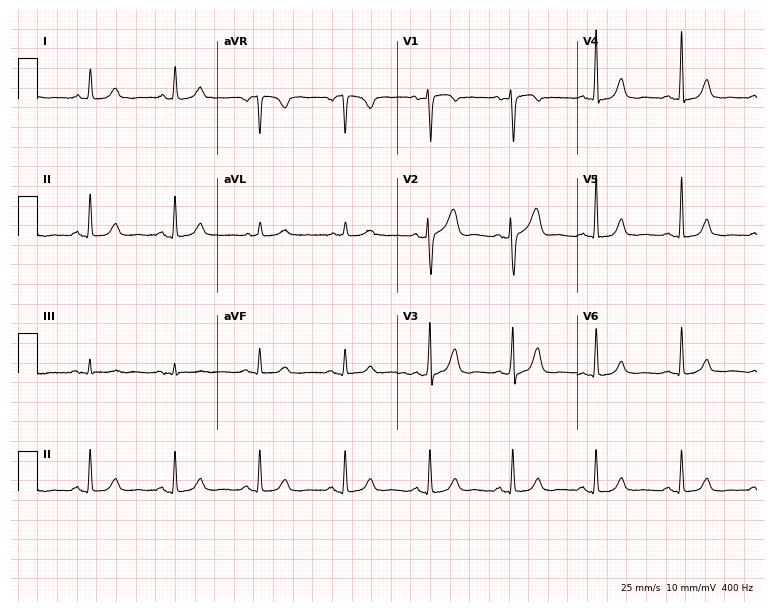
12-lead ECG (7.3-second recording at 400 Hz) from a female patient, 54 years old. Screened for six findings — first-degree AV block, right bundle branch block, left bundle branch block, sinus bradycardia, atrial fibrillation, sinus tachycardia — none is recorded.